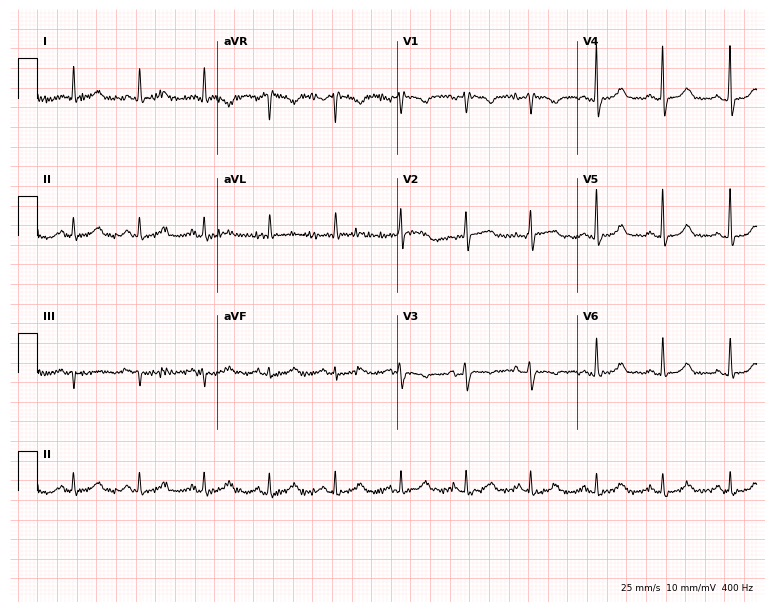
Standard 12-lead ECG recorded from a female, 50 years old (7.3-second recording at 400 Hz). None of these six findings is recorded: first-degree AV block, right bundle branch block, left bundle branch block, sinus bradycardia, atrial fibrillation, sinus tachycardia.